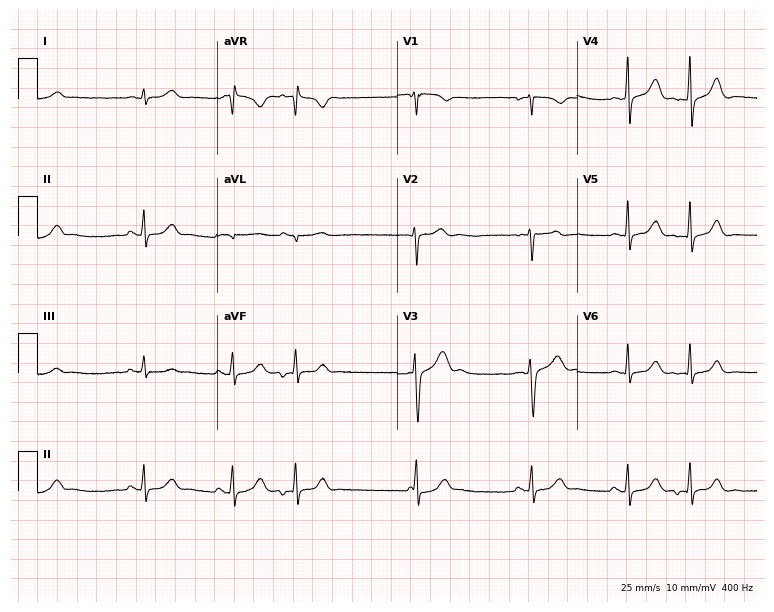
Standard 12-lead ECG recorded from a 22-year-old man. None of these six findings is recorded: first-degree AV block, right bundle branch block, left bundle branch block, sinus bradycardia, atrial fibrillation, sinus tachycardia. Only these six findings were labelled.